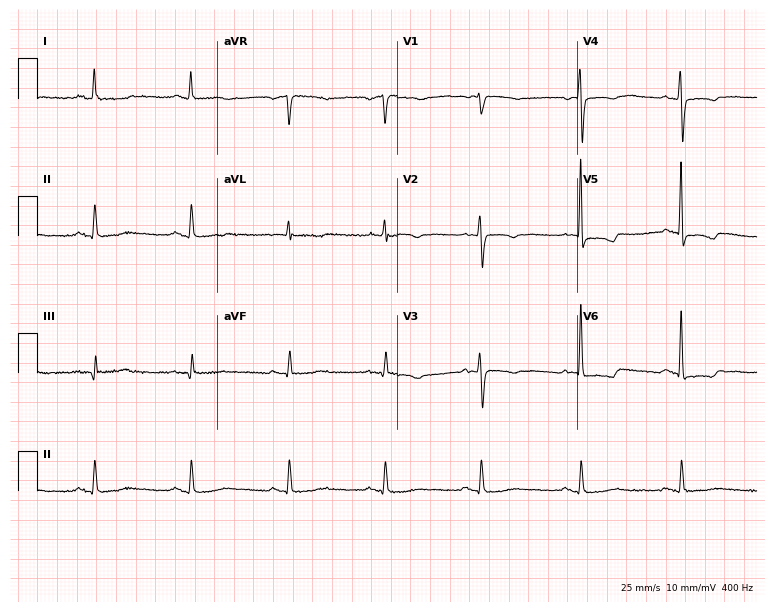
Electrocardiogram, a 75-year-old woman. Of the six screened findings (first-degree AV block, right bundle branch block, left bundle branch block, sinus bradycardia, atrial fibrillation, sinus tachycardia), none is recorded. Findings outside these six are not listed.